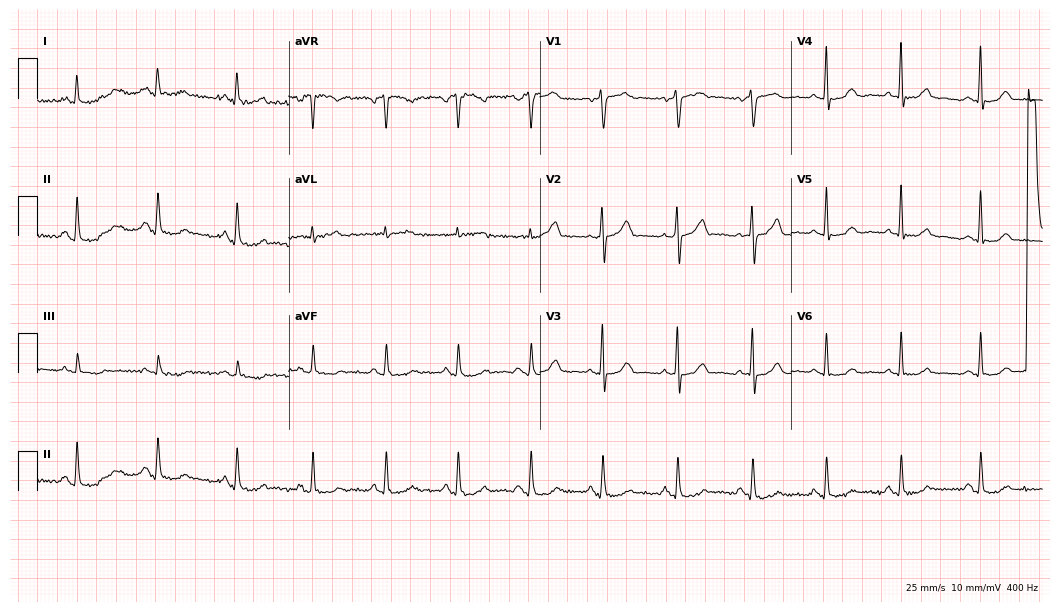
Resting 12-lead electrocardiogram. Patient: a female, 53 years old. Read as a normal ECG.